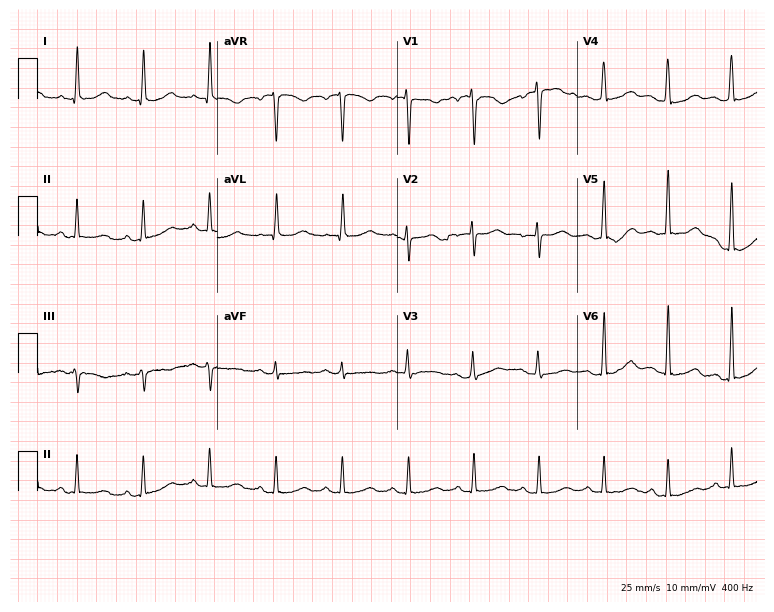
12-lead ECG (7.3-second recording at 400 Hz) from a female patient, 48 years old. Labelled as a normal ECG.